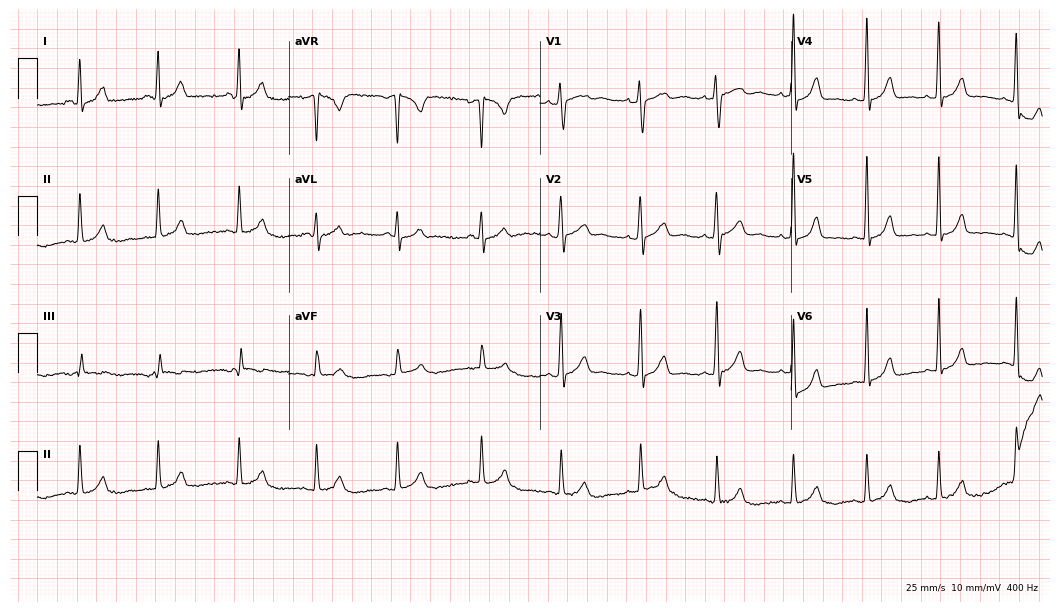
12-lead ECG from a 36-year-old female. Recorded interpretation: within normal limits.